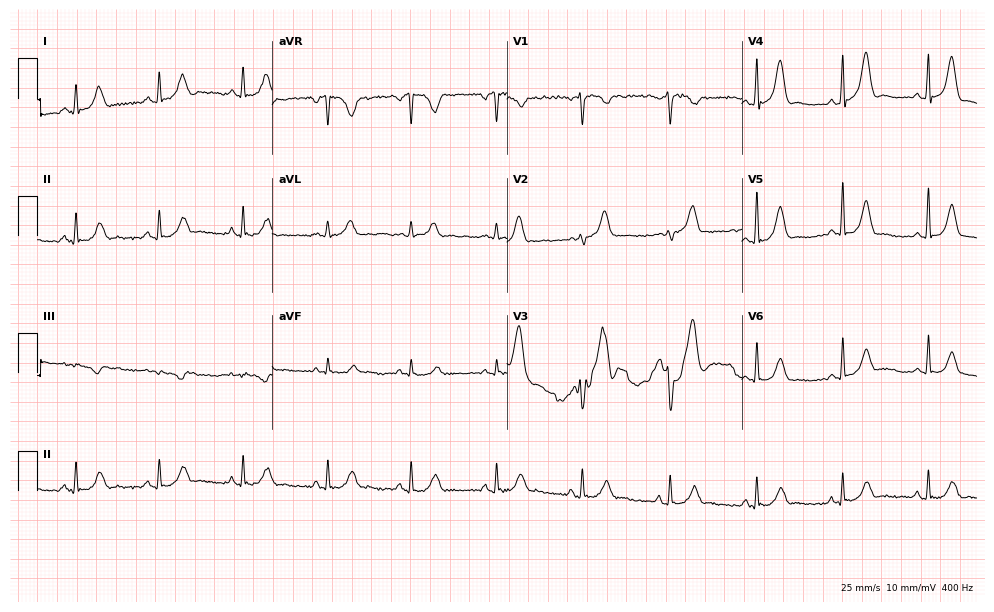
Standard 12-lead ECG recorded from a 52-year-old male. None of these six findings is recorded: first-degree AV block, right bundle branch block, left bundle branch block, sinus bradycardia, atrial fibrillation, sinus tachycardia.